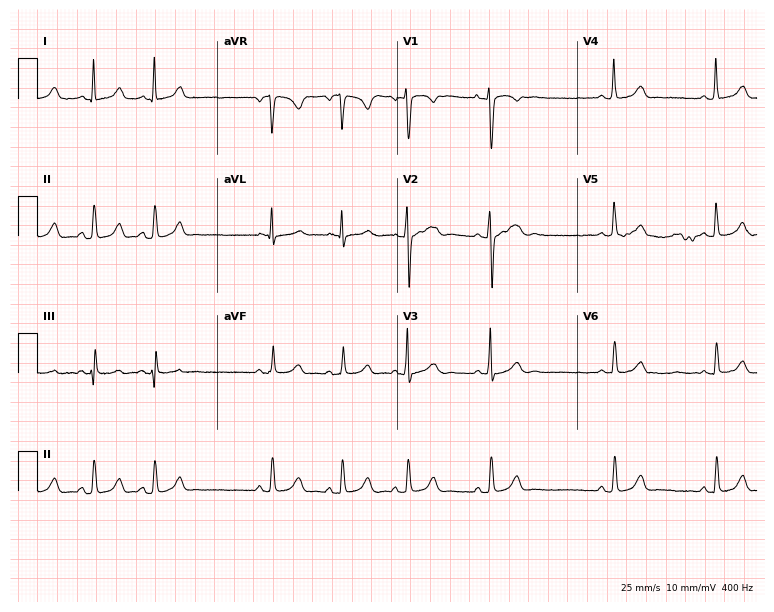
ECG — a female, 19 years old. Screened for six findings — first-degree AV block, right bundle branch block (RBBB), left bundle branch block (LBBB), sinus bradycardia, atrial fibrillation (AF), sinus tachycardia — none is recorded.